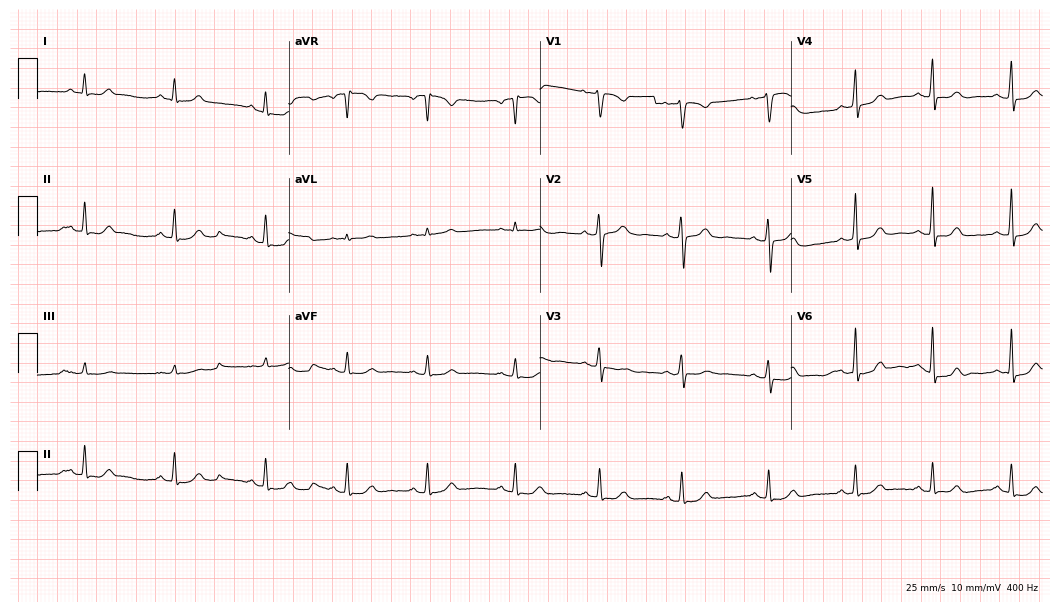
12-lead ECG (10.2-second recording at 400 Hz) from a woman, 38 years old. Labelled as a normal ECG.